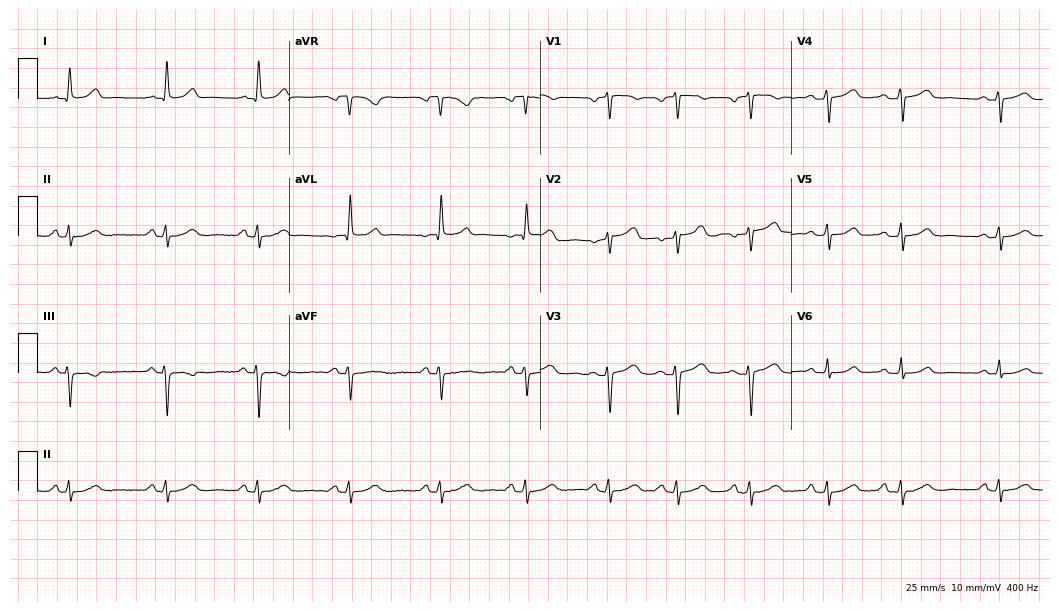
Resting 12-lead electrocardiogram. Patient: a female, 45 years old. None of these six findings is recorded: first-degree AV block, right bundle branch block, left bundle branch block, sinus bradycardia, atrial fibrillation, sinus tachycardia. Only these six findings were labelled.